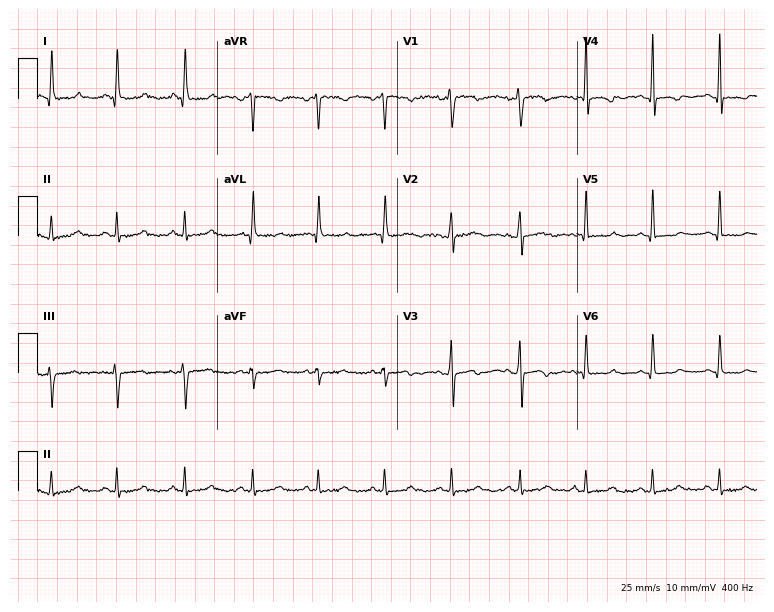
Electrocardiogram, a 54-year-old woman. Of the six screened findings (first-degree AV block, right bundle branch block (RBBB), left bundle branch block (LBBB), sinus bradycardia, atrial fibrillation (AF), sinus tachycardia), none is recorded.